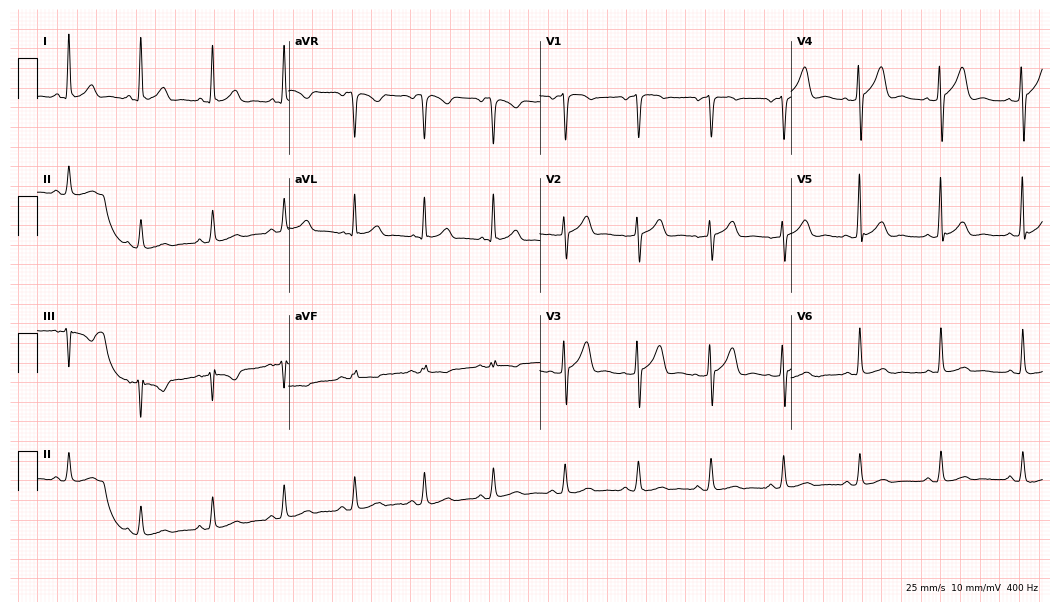
Resting 12-lead electrocardiogram (10.2-second recording at 400 Hz). Patient: a 53-year-old man. Read as a normal ECG.